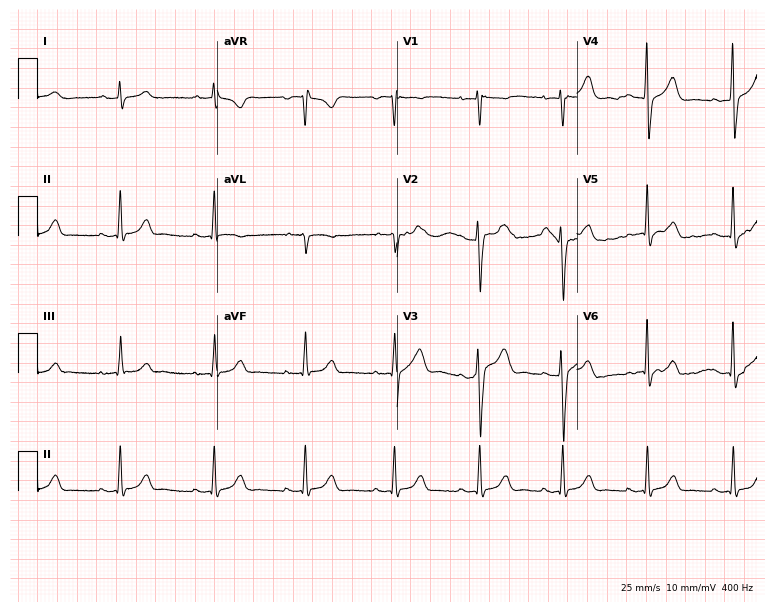
Electrocardiogram (7.3-second recording at 400 Hz), a 45-year-old male. Of the six screened findings (first-degree AV block, right bundle branch block (RBBB), left bundle branch block (LBBB), sinus bradycardia, atrial fibrillation (AF), sinus tachycardia), none is recorded. Only these six findings were labelled.